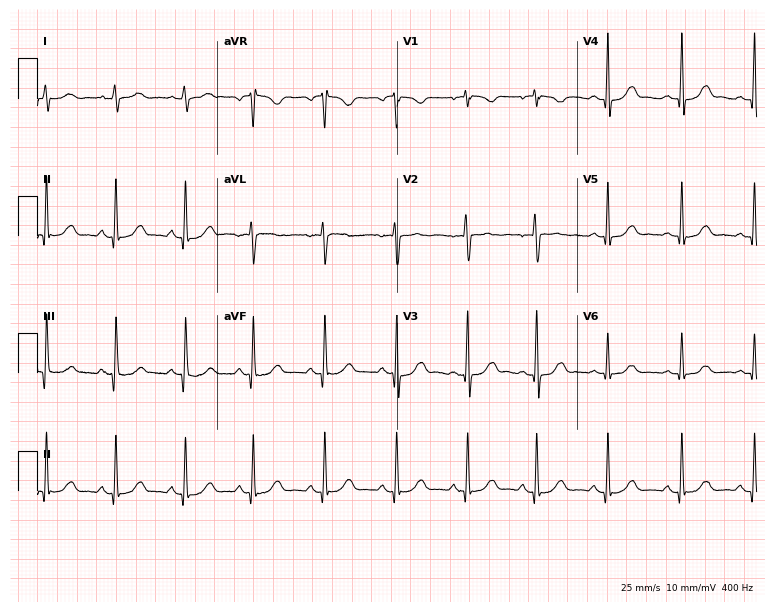
12-lead ECG from a woman, 47 years old. Labelled as a normal ECG.